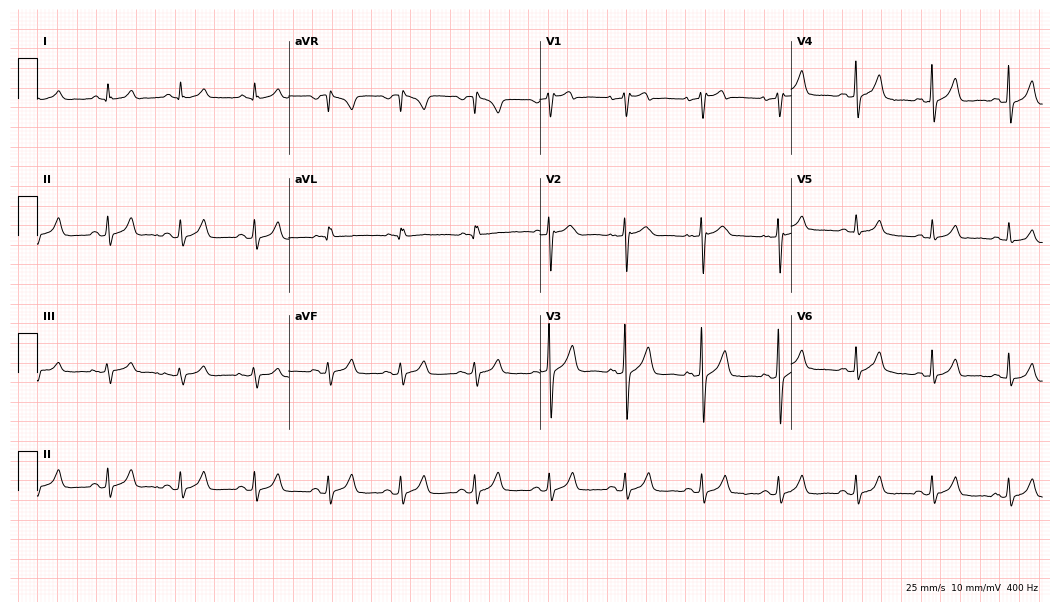
Resting 12-lead electrocardiogram. Patient: a man, 64 years old. None of these six findings is recorded: first-degree AV block, right bundle branch block, left bundle branch block, sinus bradycardia, atrial fibrillation, sinus tachycardia. Only these six findings were labelled.